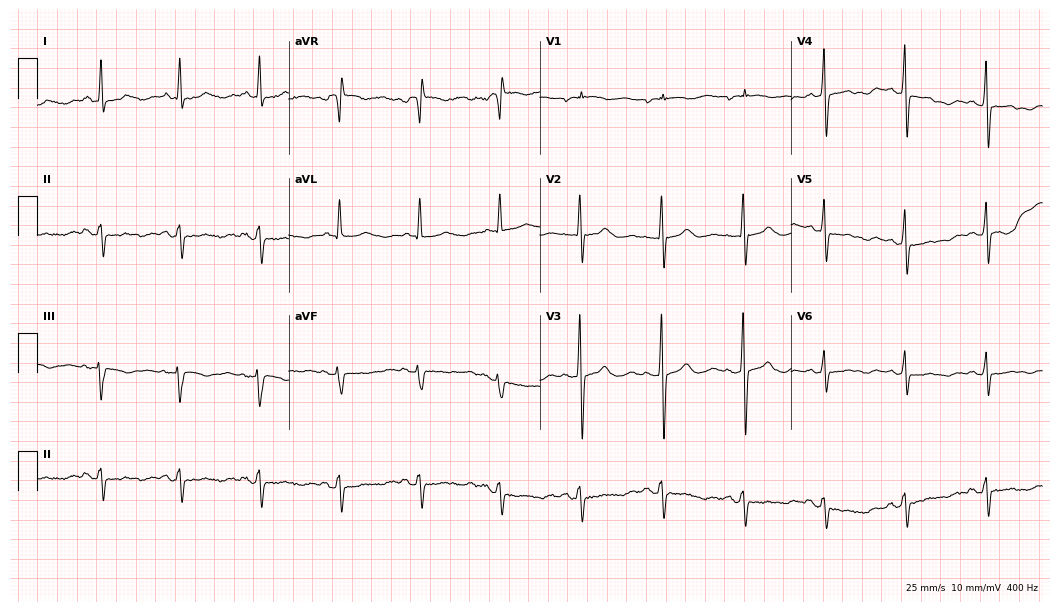
Standard 12-lead ECG recorded from a woman, 84 years old. None of these six findings is recorded: first-degree AV block, right bundle branch block, left bundle branch block, sinus bradycardia, atrial fibrillation, sinus tachycardia.